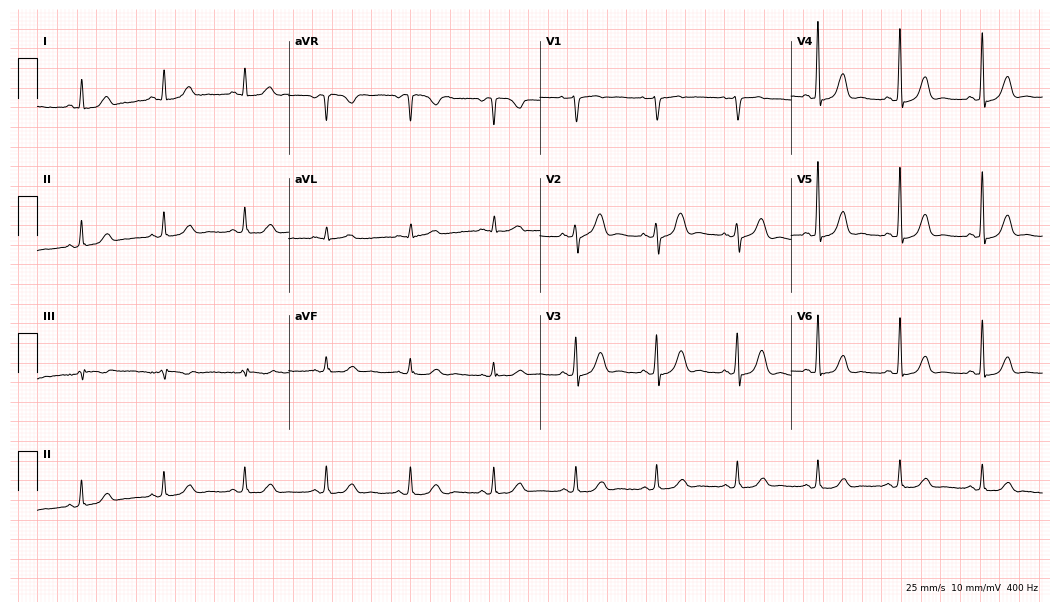
Electrocardiogram (10.2-second recording at 400 Hz), a female, 48 years old. Overall reading on record: normal ECG.